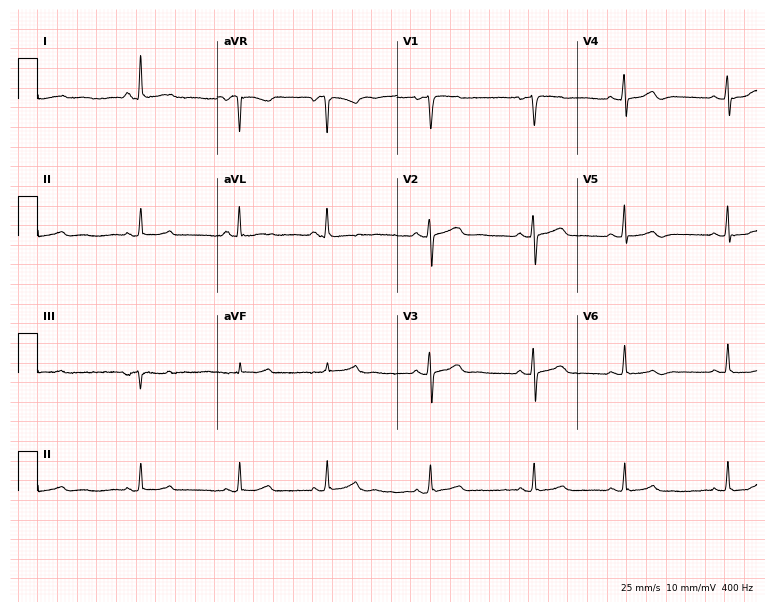
Resting 12-lead electrocardiogram. Patient: a female, 41 years old. Read as a normal ECG.